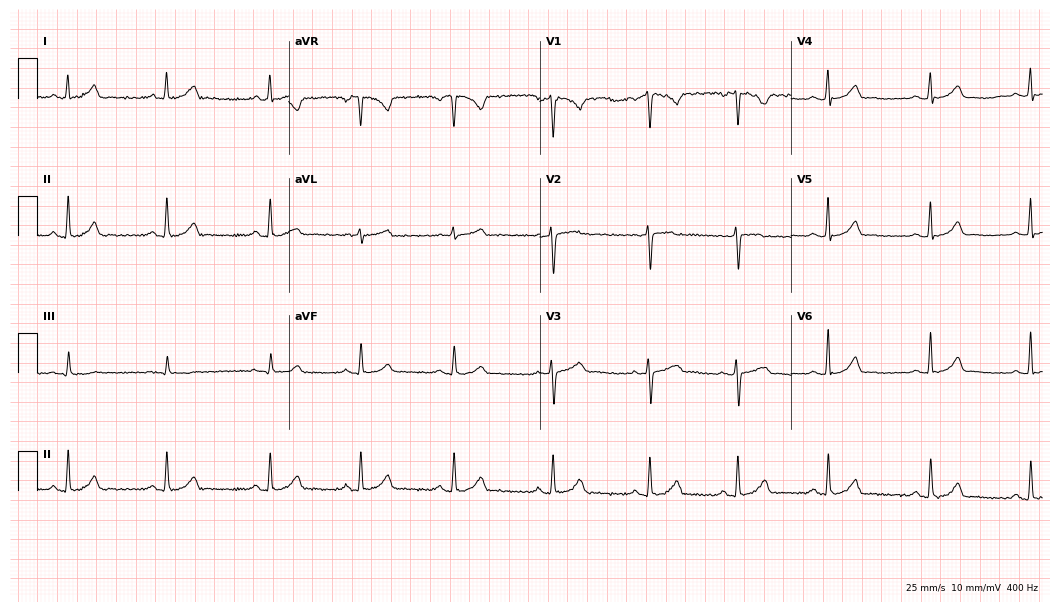
ECG — a 37-year-old woman. Screened for six findings — first-degree AV block, right bundle branch block, left bundle branch block, sinus bradycardia, atrial fibrillation, sinus tachycardia — none is recorded. Other findings, if any, are not listed.